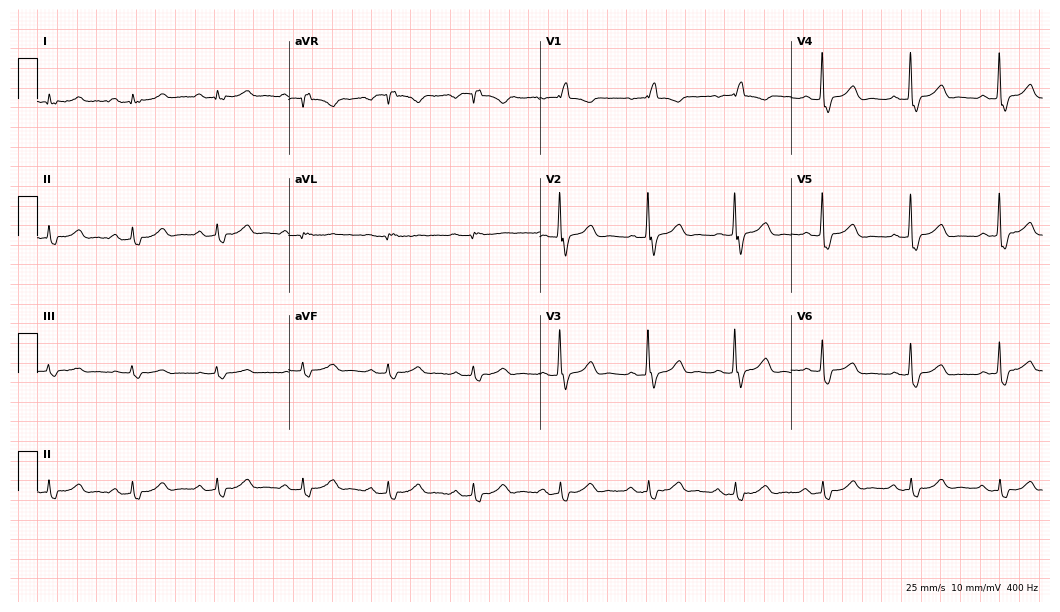
12-lead ECG from a 79-year-old female. Shows right bundle branch block (RBBB).